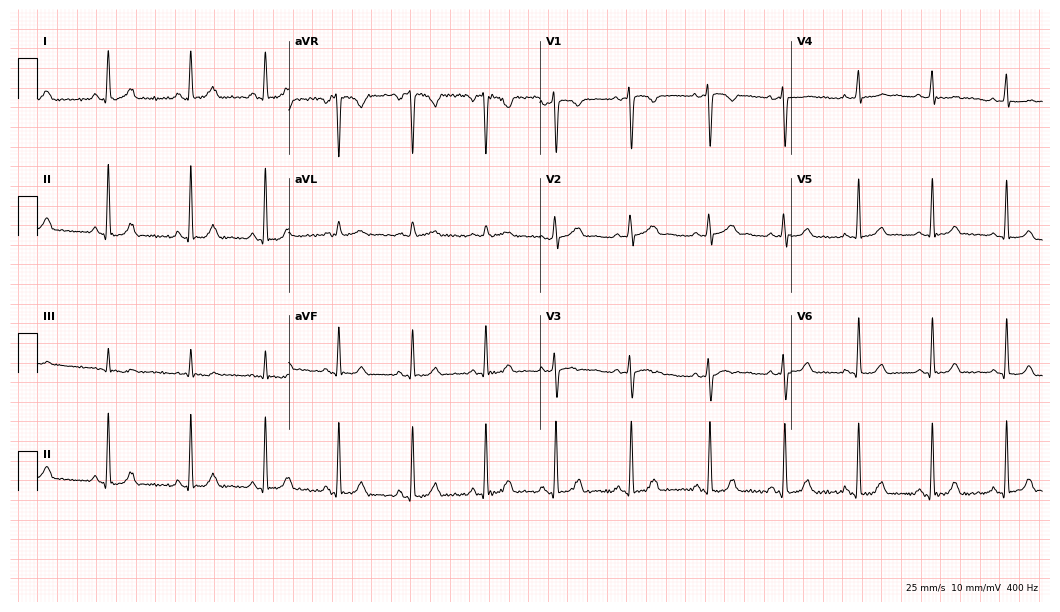
Electrocardiogram, a 19-year-old female patient. Overall reading on record: normal ECG.